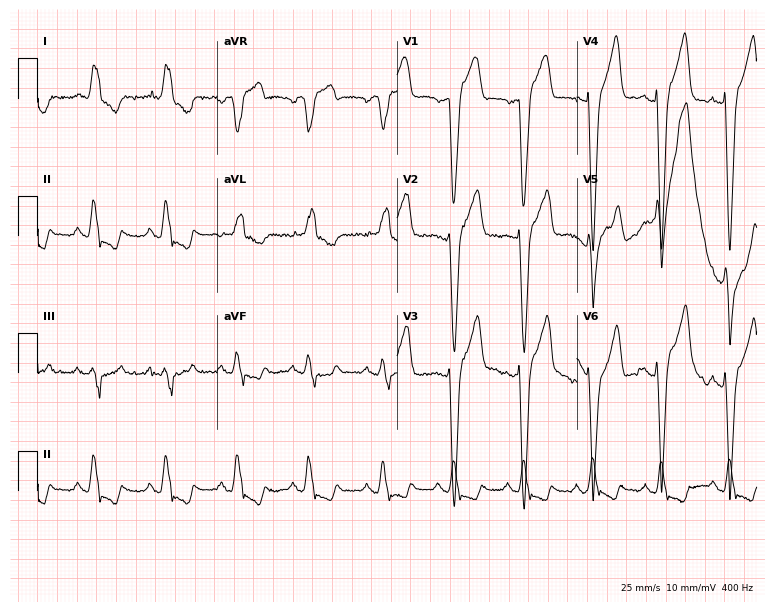
12-lead ECG from a female, 83 years old. Shows left bundle branch block.